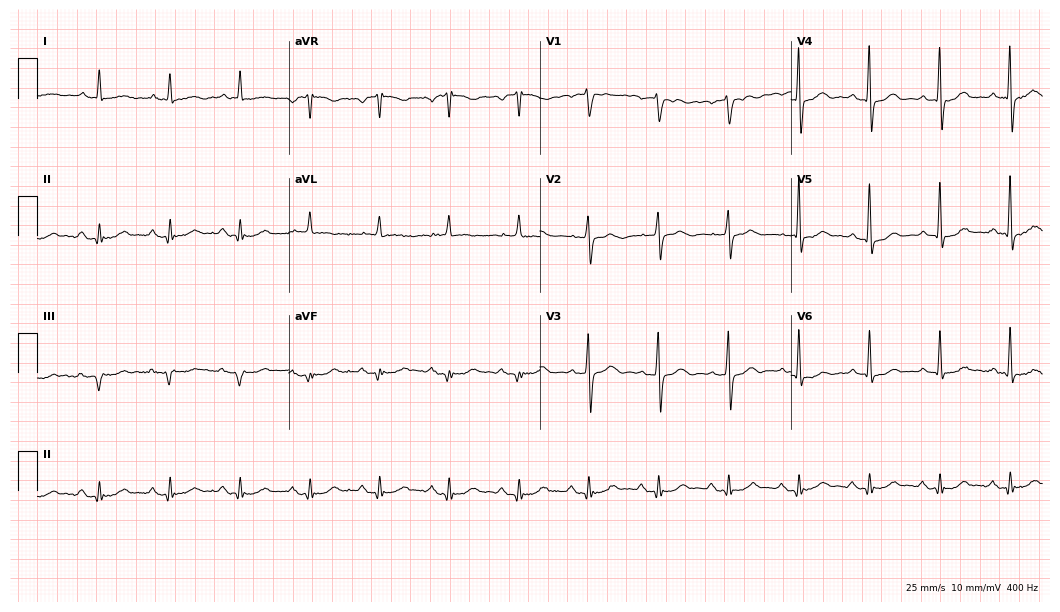
ECG (10.2-second recording at 400 Hz) — an 83-year-old male. Labelled as a normal ECG.